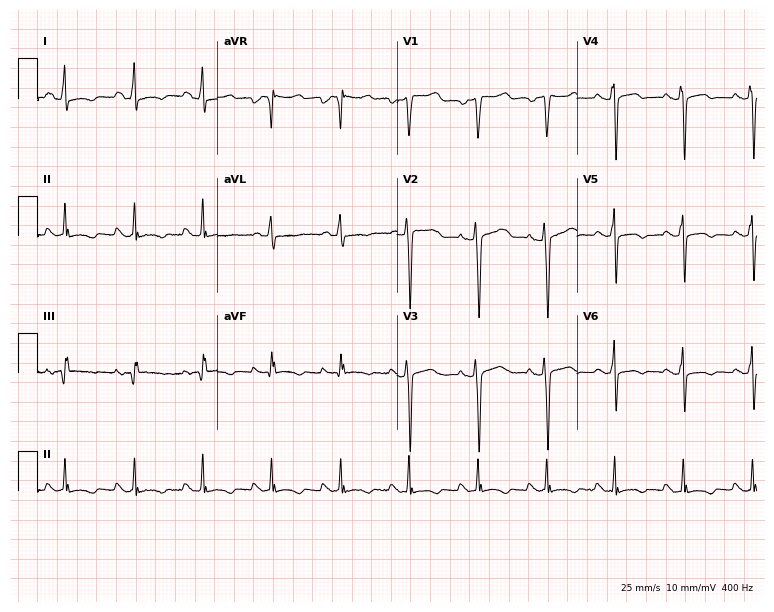
Standard 12-lead ECG recorded from a 48-year-old female (7.3-second recording at 400 Hz). None of these six findings is recorded: first-degree AV block, right bundle branch block (RBBB), left bundle branch block (LBBB), sinus bradycardia, atrial fibrillation (AF), sinus tachycardia.